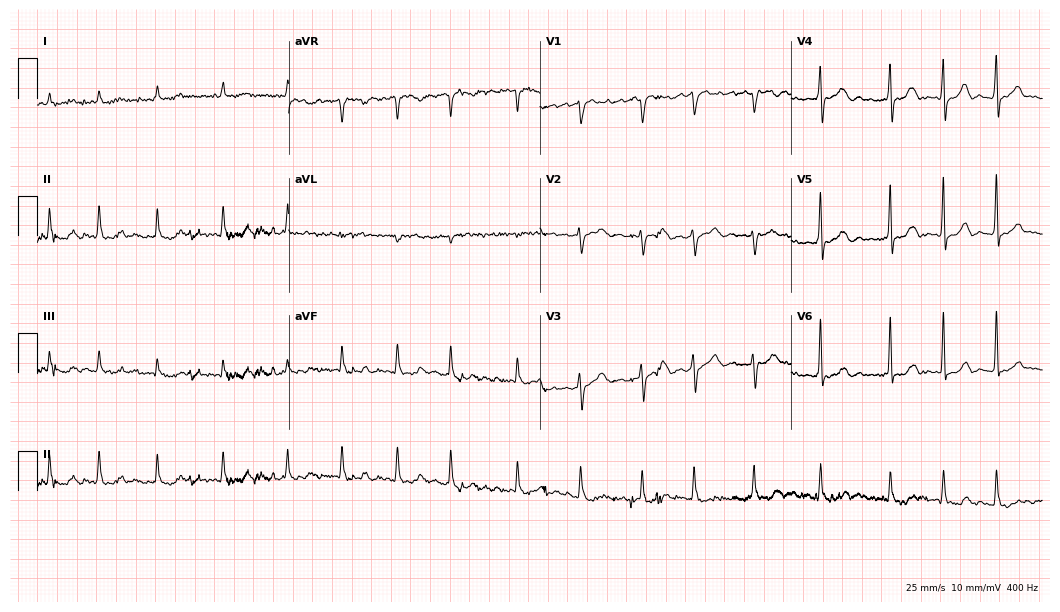
12-lead ECG from an 80-year-old male (10.2-second recording at 400 Hz). Shows atrial fibrillation.